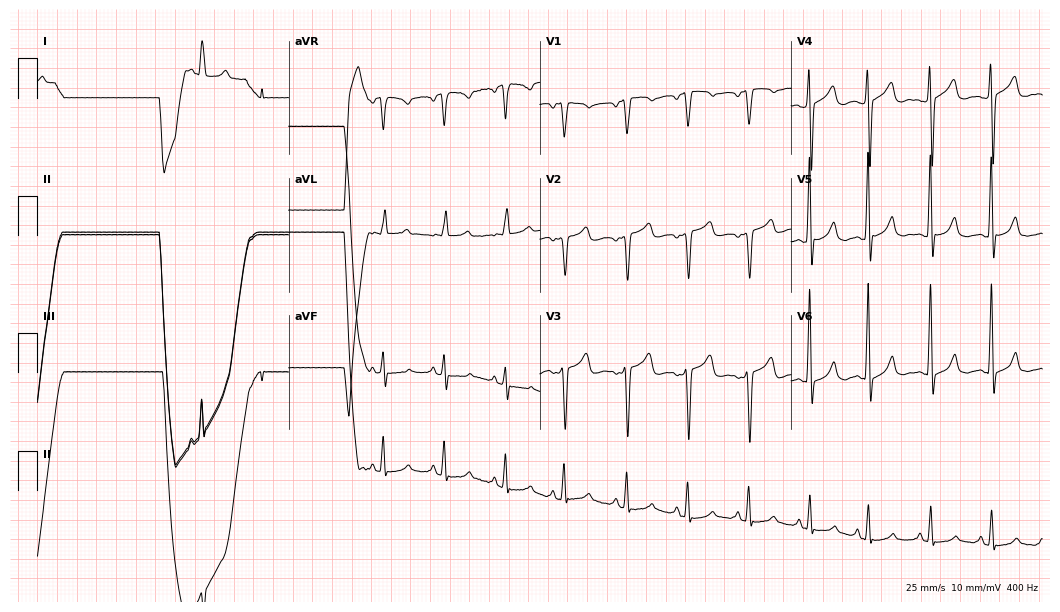
Electrocardiogram, an 85-year-old female. Of the six screened findings (first-degree AV block, right bundle branch block, left bundle branch block, sinus bradycardia, atrial fibrillation, sinus tachycardia), none is recorded.